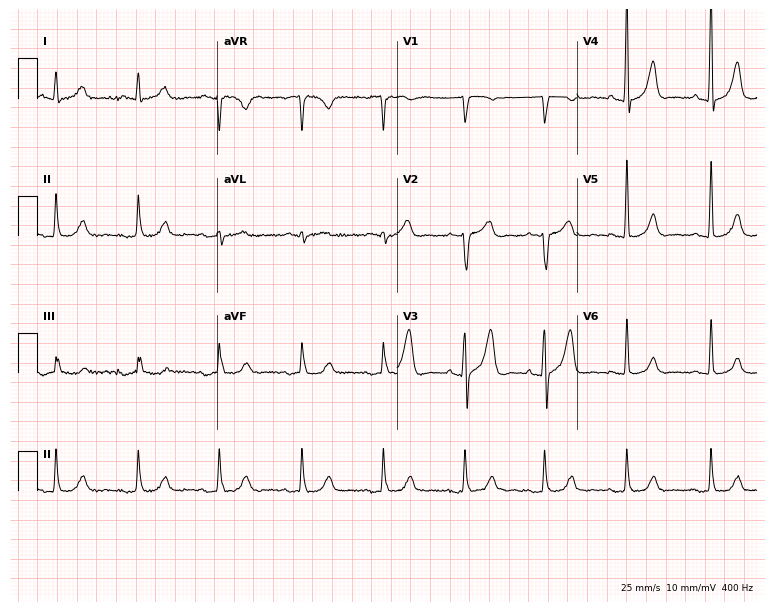
Electrocardiogram (7.3-second recording at 400 Hz), a man, 54 years old. Overall reading on record: normal ECG.